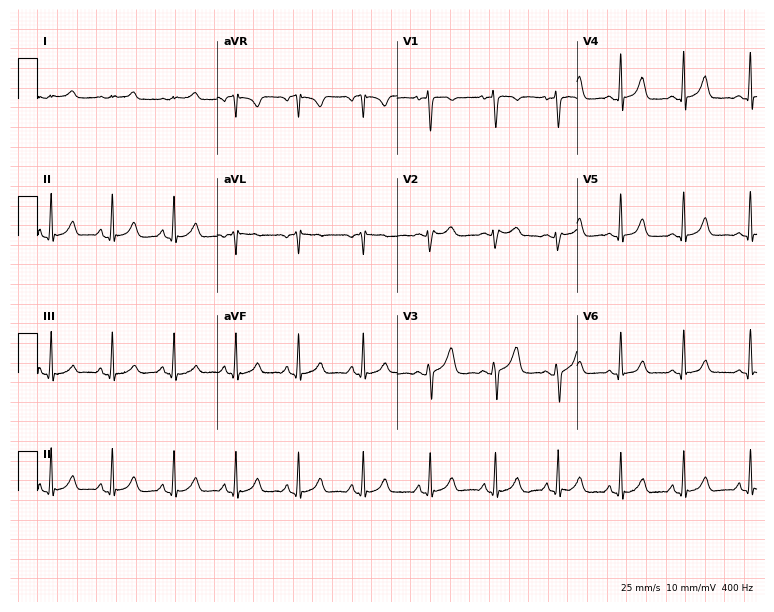
12-lead ECG from a woman, 25 years old (7.3-second recording at 400 Hz). Recorded interpretation: within normal limits.